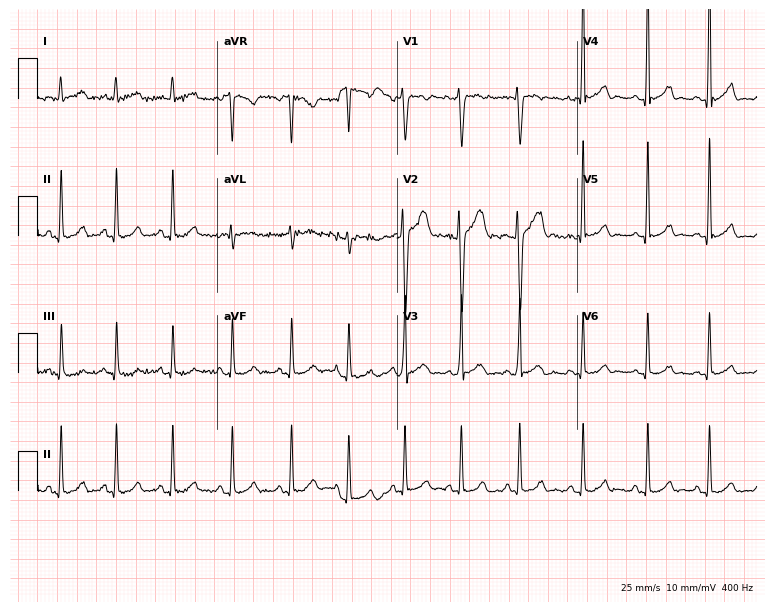
ECG — a 17-year-old male patient. Labelled as a normal ECG.